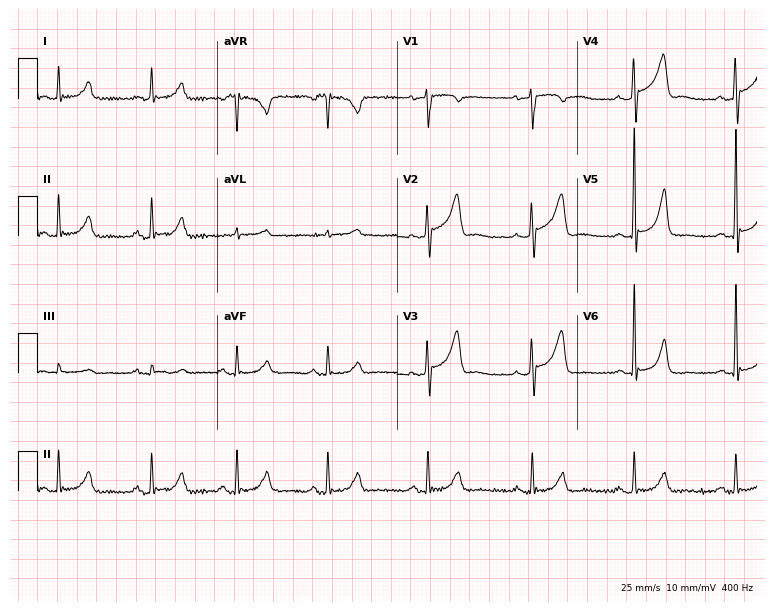
Electrocardiogram, a man, 64 years old. Of the six screened findings (first-degree AV block, right bundle branch block, left bundle branch block, sinus bradycardia, atrial fibrillation, sinus tachycardia), none is recorded. Other findings, if any, are not listed.